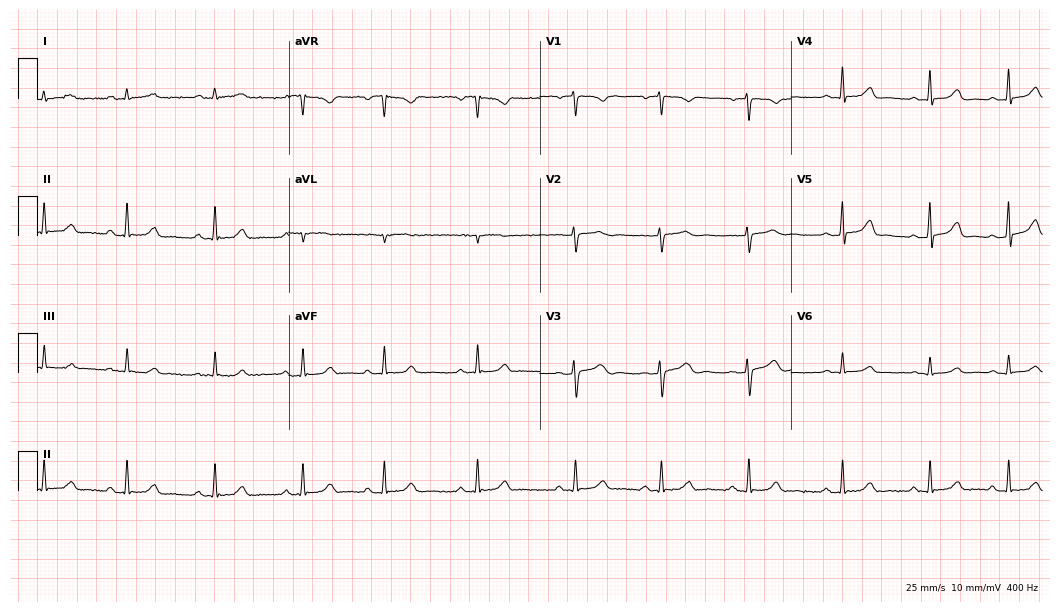
12-lead ECG from a 27-year-old female patient. Screened for six findings — first-degree AV block, right bundle branch block (RBBB), left bundle branch block (LBBB), sinus bradycardia, atrial fibrillation (AF), sinus tachycardia — none is recorded.